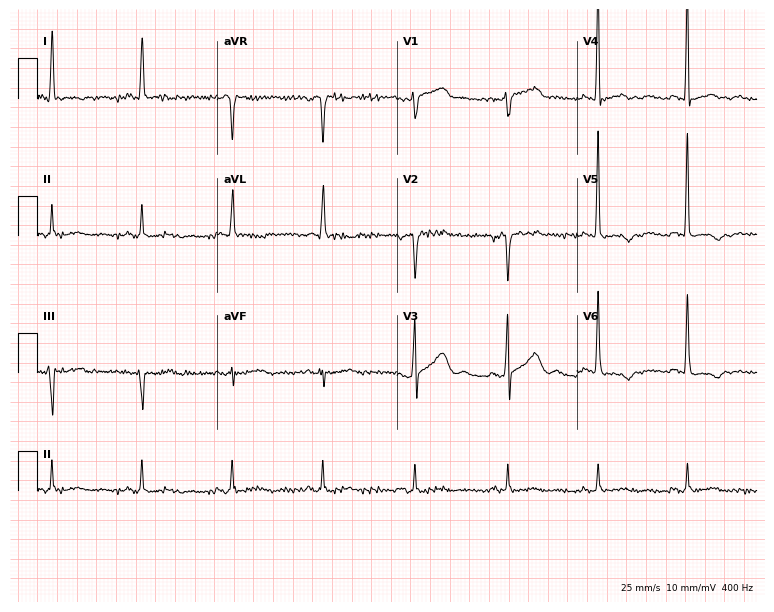
Standard 12-lead ECG recorded from a 79-year-old male patient (7.3-second recording at 400 Hz). None of these six findings is recorded: first-degree AV block, right bundle branch block, left bundle branch block, sinus bradycardia, atrial fibrillation, sinus tachycardia.